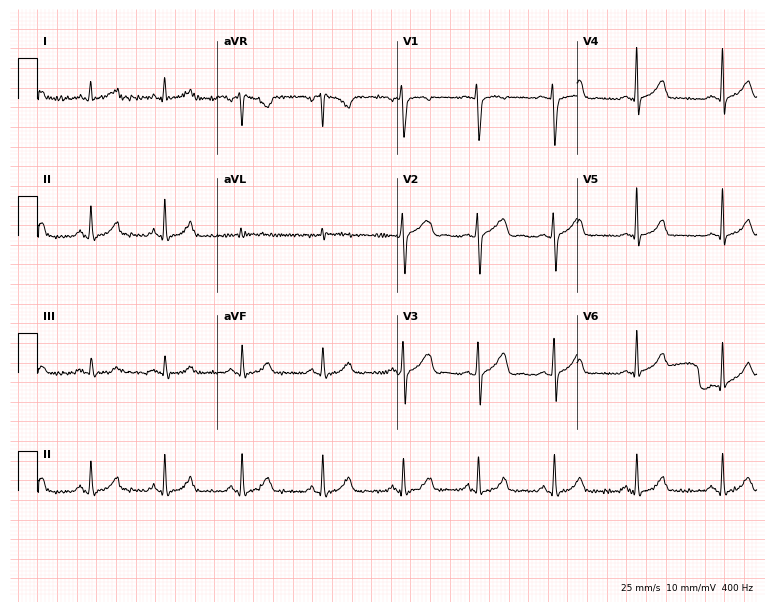
ECG (7.3-second recording at 400 Hz) — a 25-year-old woman. Screened for six findings — first-degree AV block, right bundle branch block (RBBB), left bundle branch block (LBBB), sinus bradycardia, atrial fibrillation (AF), sinus tachycardia — none is recorded. Other findings, if any, are not listed.